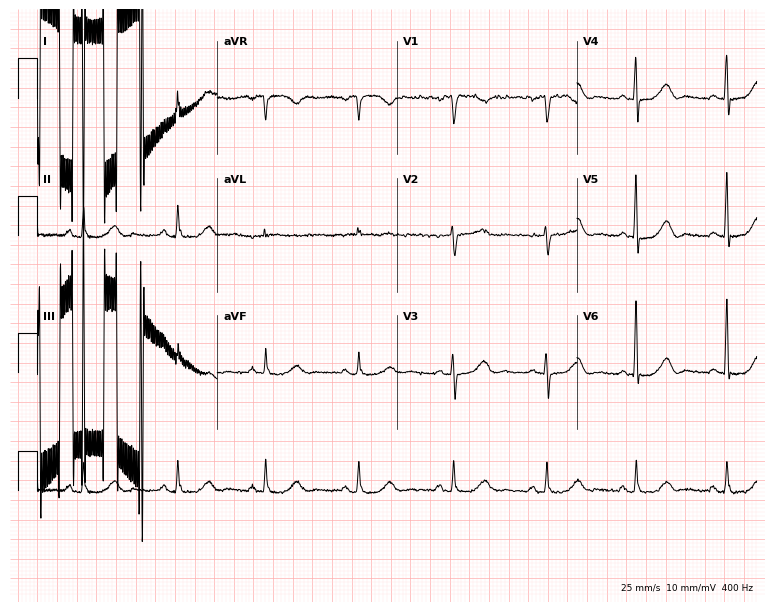
12-lead ECG from a woman, 72 years old. No first-degree AV block, right bundle branch block, left bundle branch block, sinus bradycardia, atrial fibrillation or sinus tachycardia recorded for this tracing. Findings outside these six are not listed.